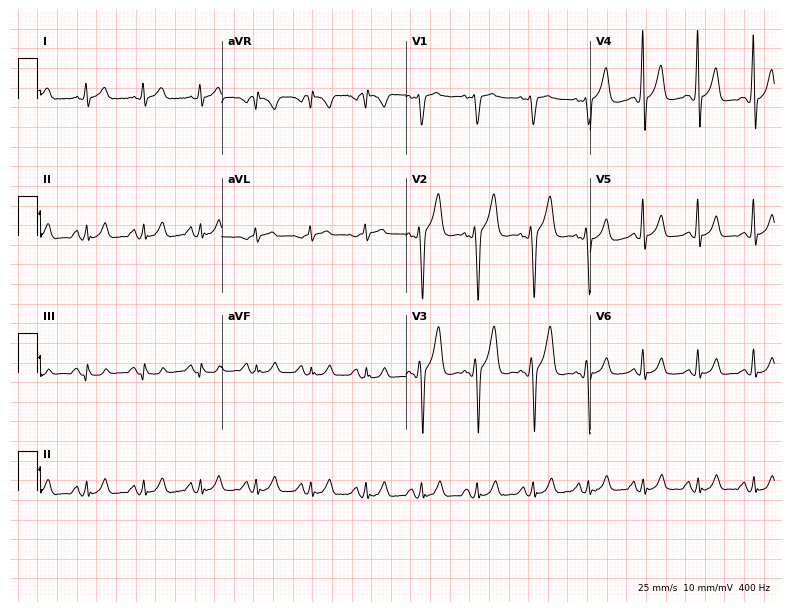
Standard 12-lead ECG recorded from a male patient, 55 years old. None of these six findings is recorded: first-degree AV block, right bundle branch block, left bundle branch block, sinus bradycardia, atrial fibrillation, sinus tachycardia.